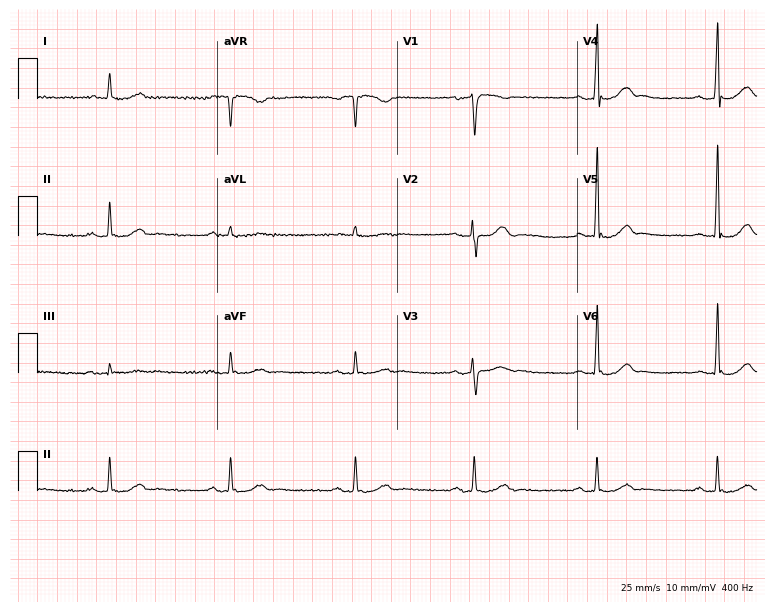
Standard 12-lead ECG recorded from a 52-year-old man (7.3-second recording at 400 Hz). The tracing shows sinus bradycardia (a sinus rate of 50 beats per minute or less).